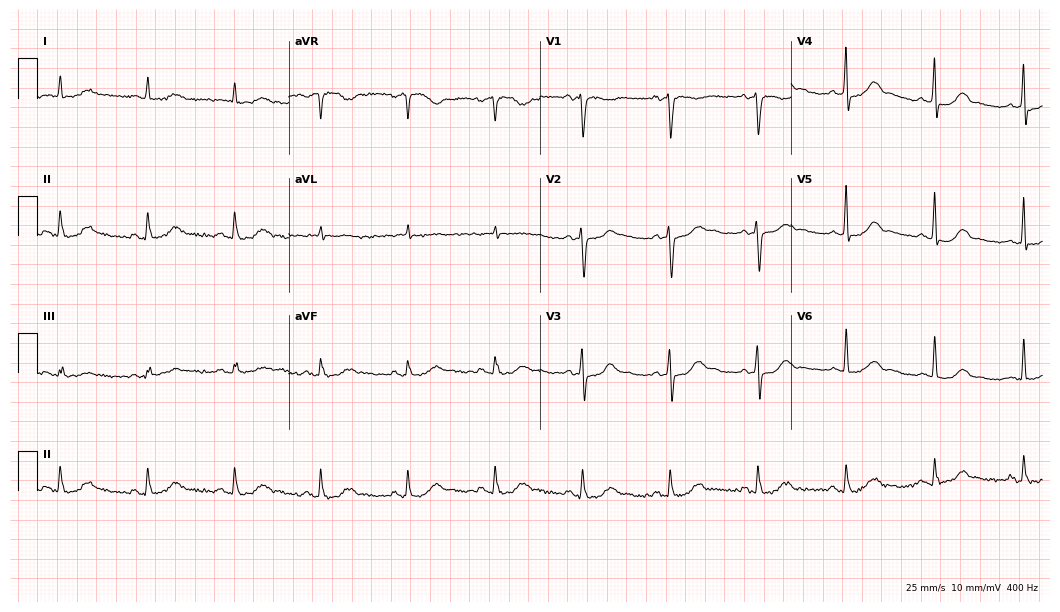
12-lead ECG from a man, 66 years old (10.2-second recording at 400 Hz). Recorded interpretation: within normal limits.